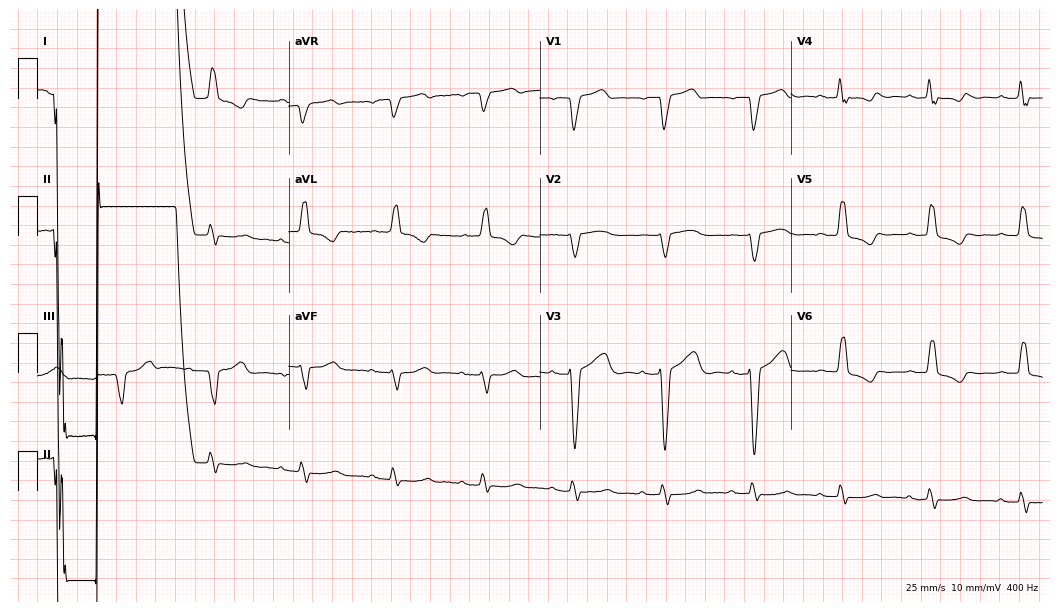
Resting 12-lead electrocardiogram. Patient: a man, 80 years old. None of these six findings is recorded: first-degree AV block, right bundle branch block, left bundle branch block, sinus bradycardia, atrial fibrillation, sinus tachycardia. Findings outside these six are not listed.